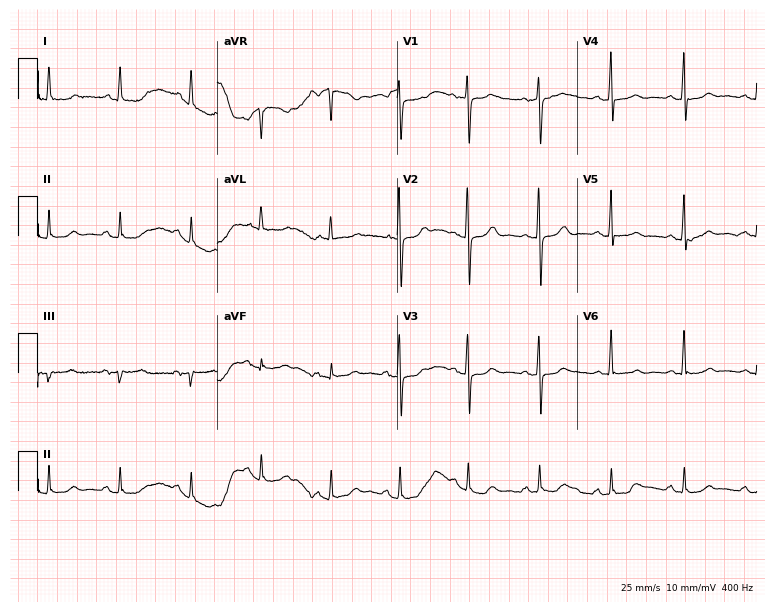
Resting 12-lead electrocardiogram (7.3-second recording at 400 Hz). Patient: a female, 61 years old. Read as a normal ECG.